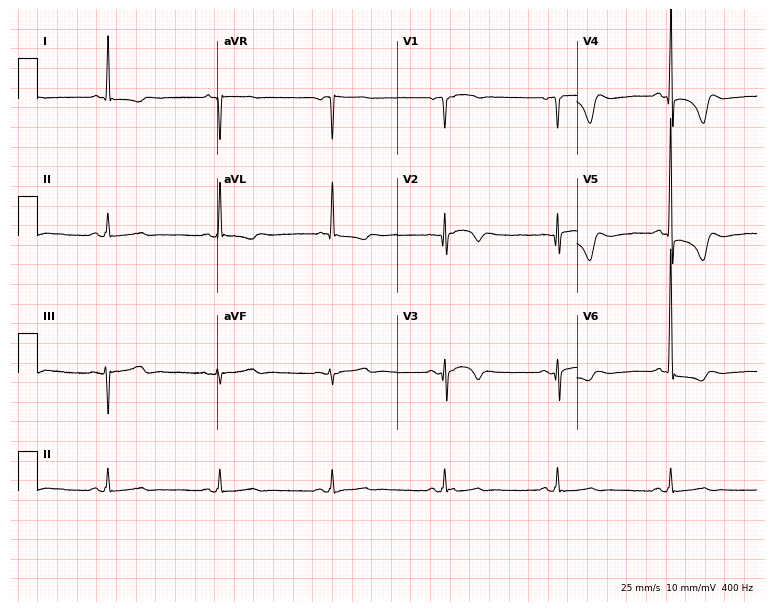
12-lead ECG from a male patient, 76 years old. Screened for six findings — first-degree AV block, right bundle branch block, left bundle branch block, sinus bradycardia, atrial fibrillation, sinus tachycardia — none is recorded. Only these six findings were labelled.